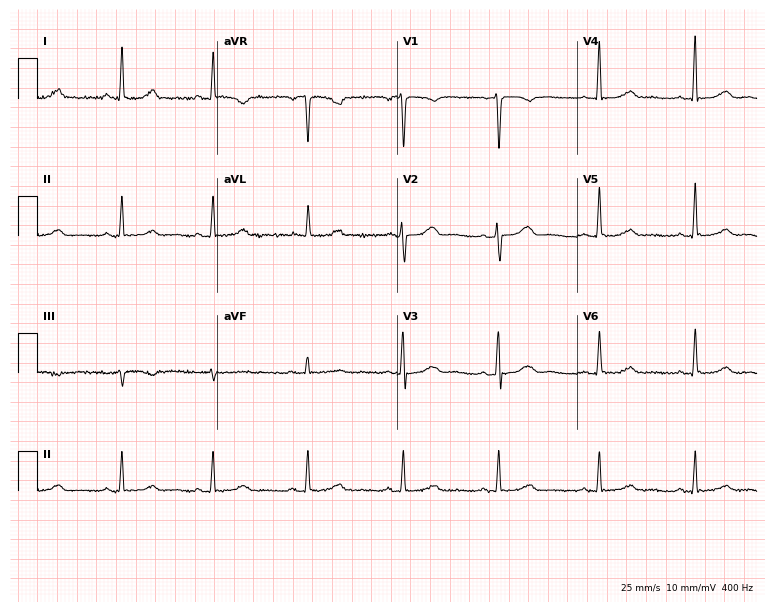
12-lead ECG from a 58-year-old woman (7.3-second recording at 400 Hz). Recorded interpretation: within normal limits.